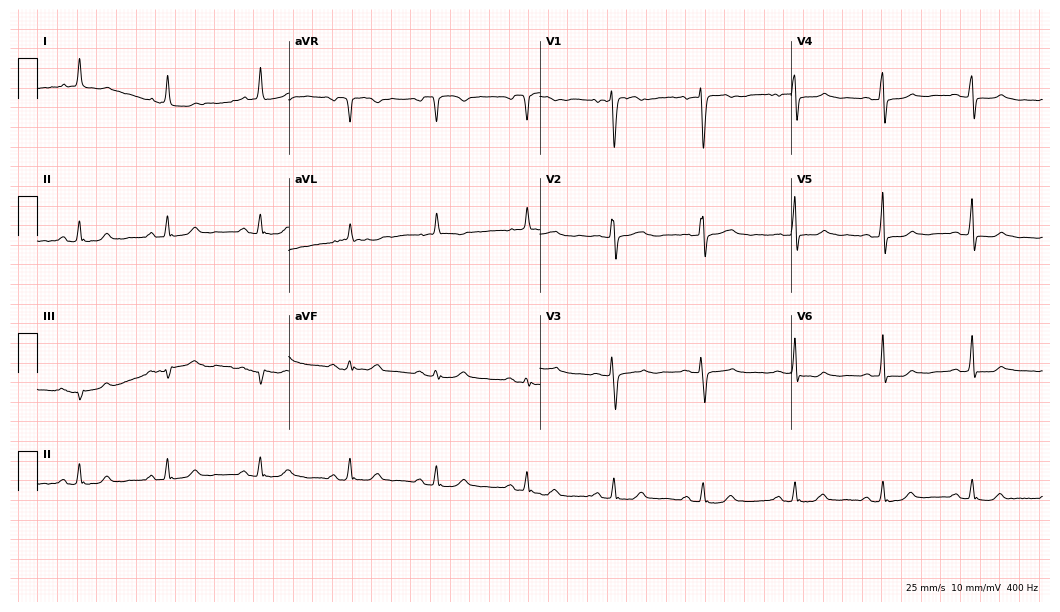
ECG (10.2-second recording at 400 Hz) — a 71-year-old female patient. Labelled as a normal ECG.